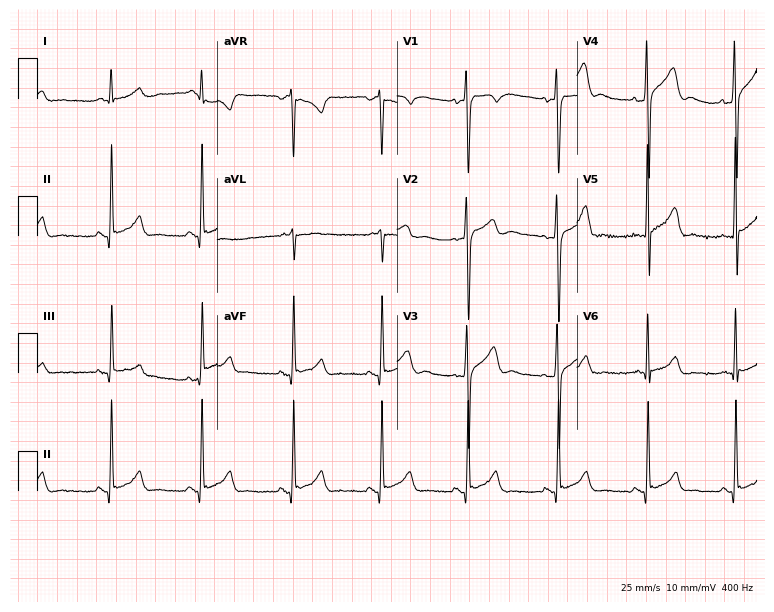
ECG (7.3-second recording at 400 Hz) — a man, 26 years old. Labelled as a normal ECG.